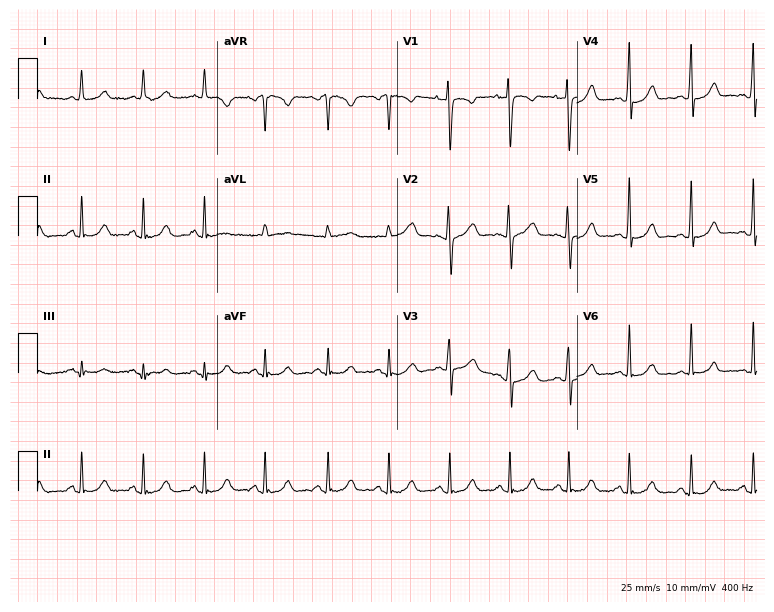
12-lead ECG from a 29-year-old woman. Recorded interpretation: within normal limits.